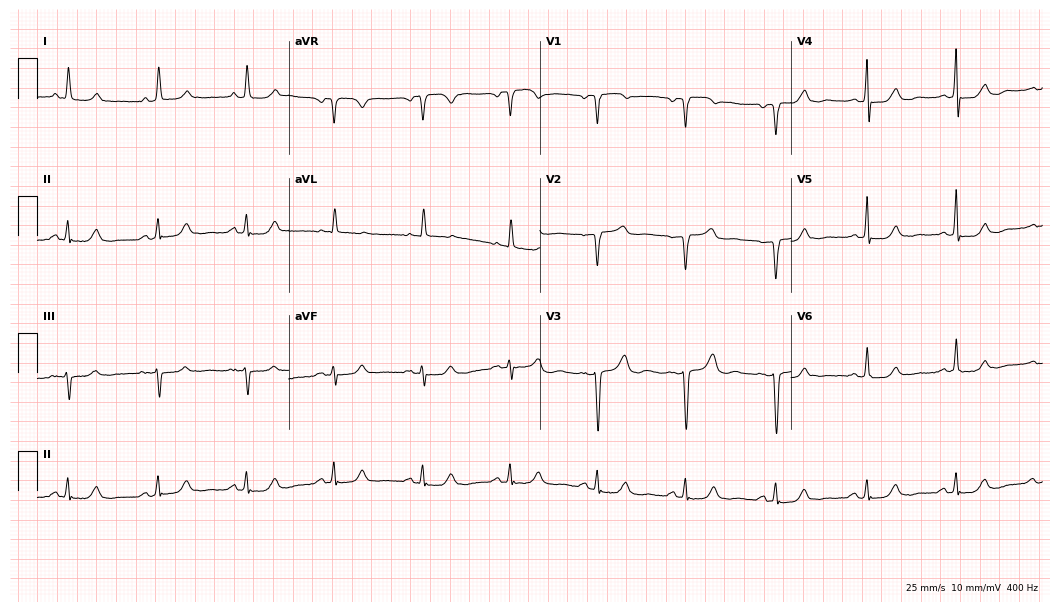
Standard 12-lead ECG recorded from a 62-year-old female patient (10.2-second recording at 400 Hz). None of these six findings is recorded: first-degree AV block, right bundle branch block, left bundle branch block, sinus bradycardia, atrial fibrillation, sinus tachycardia. Only these six findings were labelled.